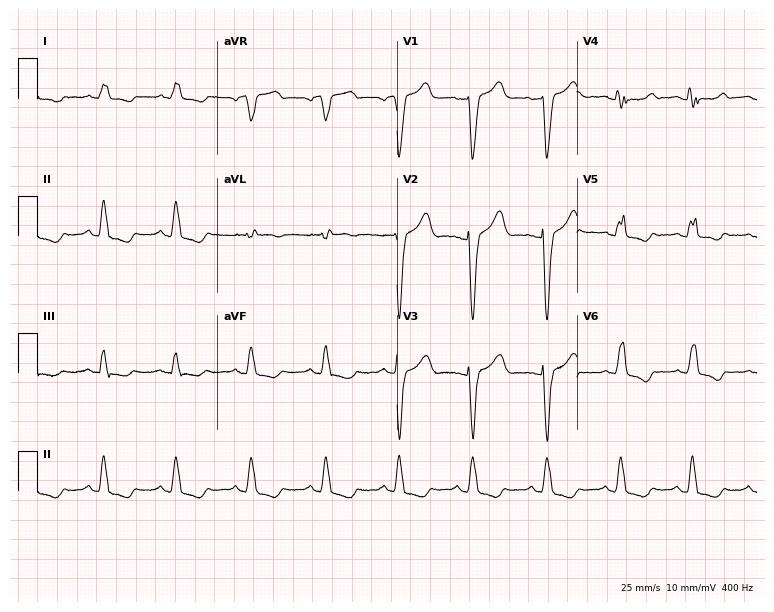
ECG (7.3-second recording at 400 Hz) — a female patient, 55 years old. Findings include left bundle branch block (LBBB).